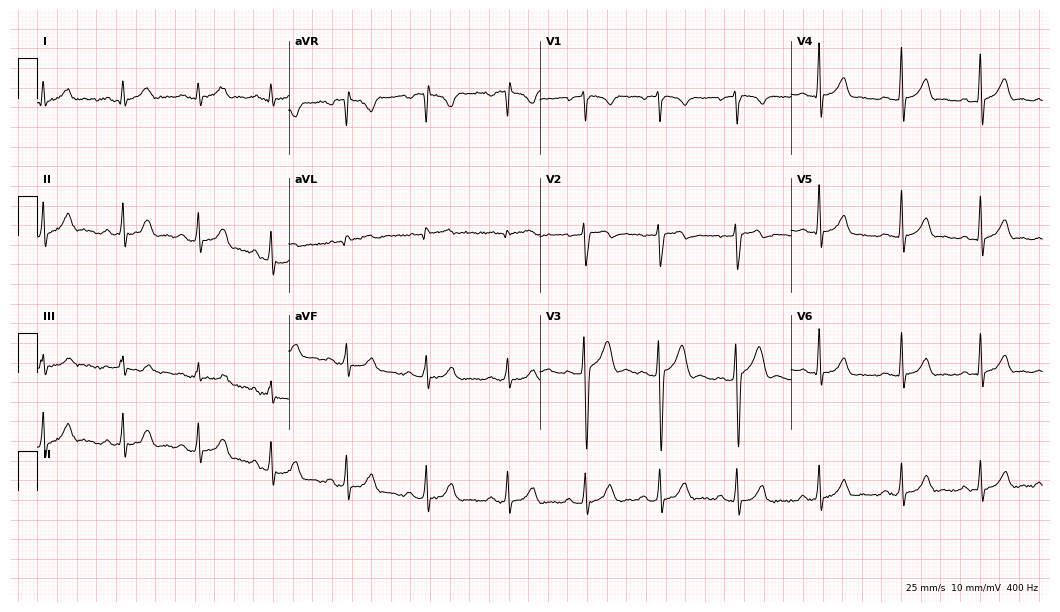
Electrocardiogram, a man, 19 years old. Overall reading on record: normal ECG.